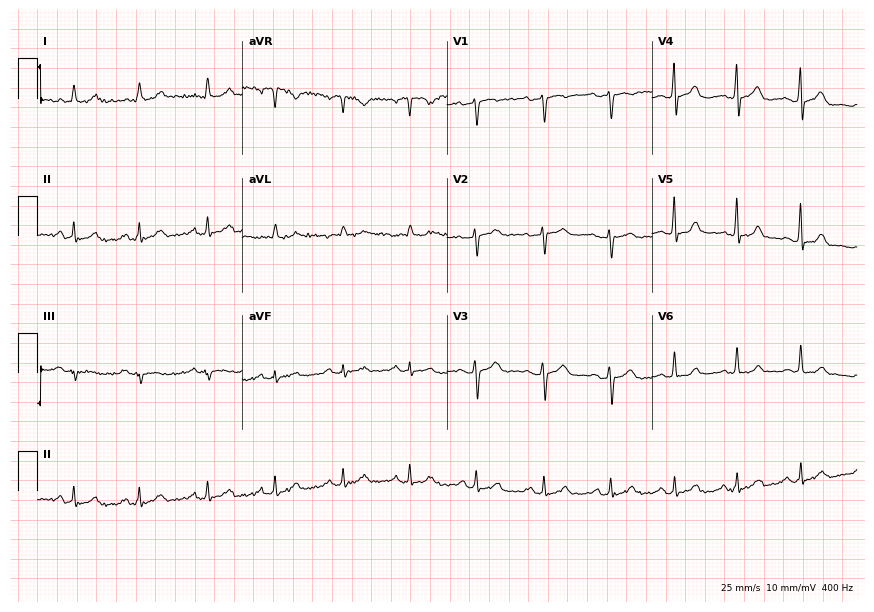
Standard 12-lead ECG recorded from a female, 50 years old. Read as a normal ECG.